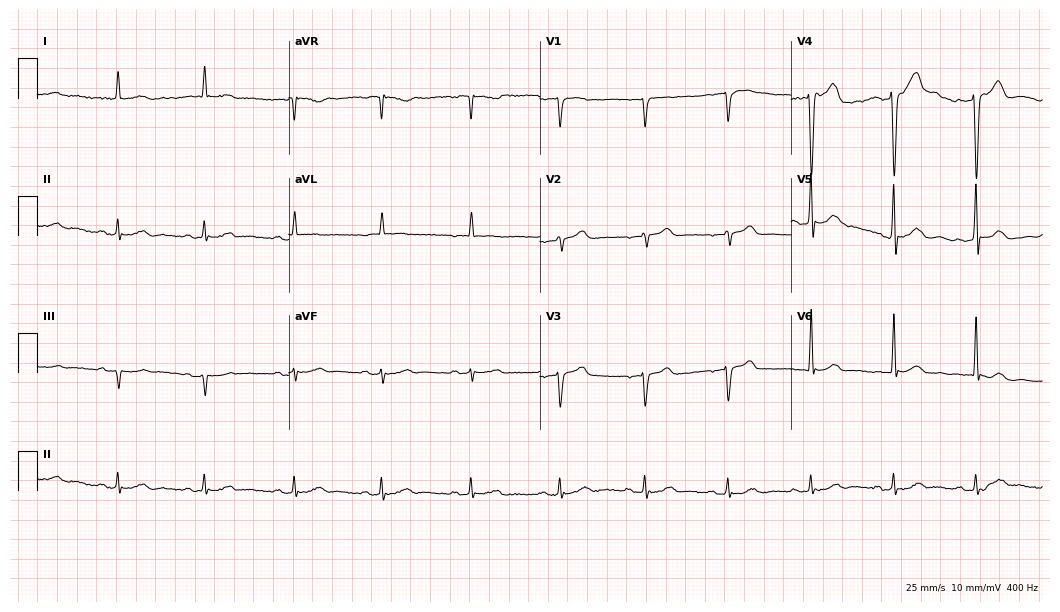
Resting 12-lead electrocardiogram. Patient: a 72-year-old man. None of these six findings is recorded: first-degree AV block, right bundle branch block (RBBB), left bundle branch block (LBBB), sinus bradycardia, atrial fibrillation (AF), sinus tachycardia. Findings outside these six are not listed.